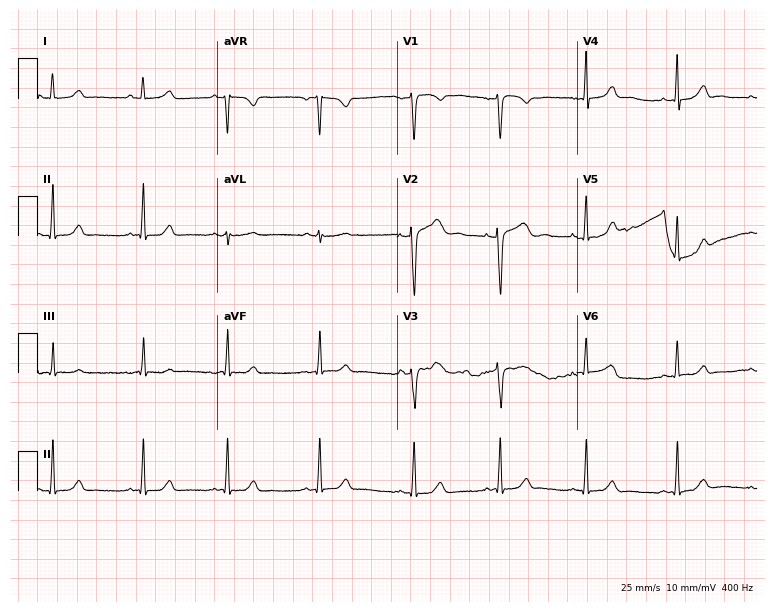
ECG (7.3-second recording at 400 Hz) — a 26-year-old female patient. Screened for six findings — first-degree AV block, right bundle branch block, left bundle branch block, sinus bradycardia, atrial fibrillation, sinus tachycardia — none is recorded. Other findings, if any, are not listed.